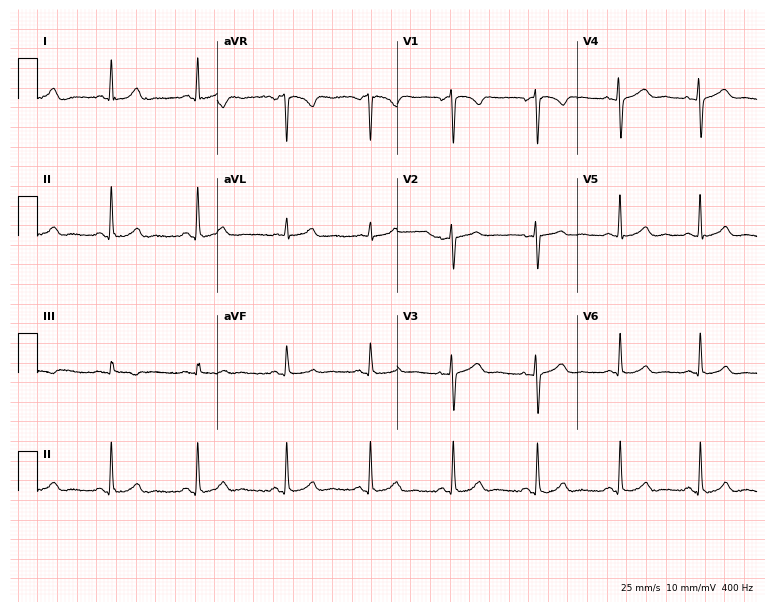
ECG — a female patient, 36 years old. Screened for six findings — first-degree AV block, right bundle branch block, left bundle branch block, sinus bradycardia, atrial fibrillation, sinus tachycardia — none is recorded. Other findings, if any, are not listed.